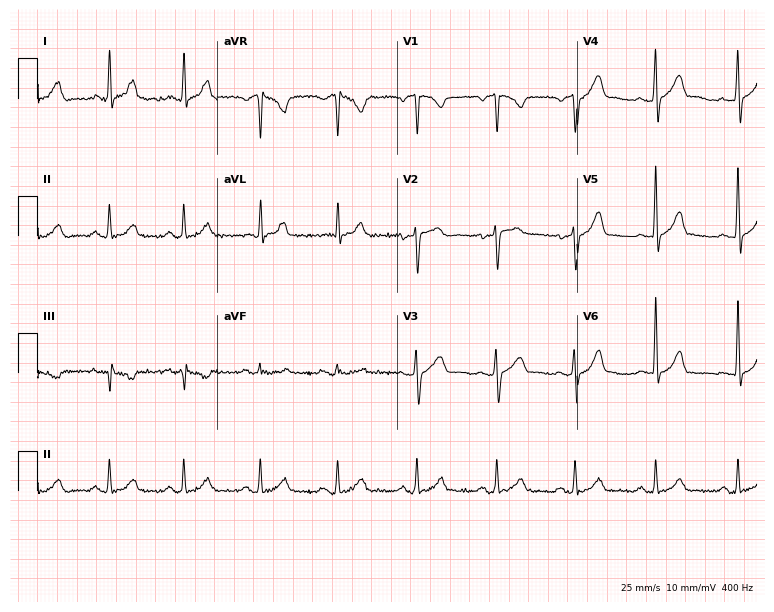
ECG (7.3-second recording at 400 Hz) — a male patient, 43 years old. Labelled as a normal ECG.